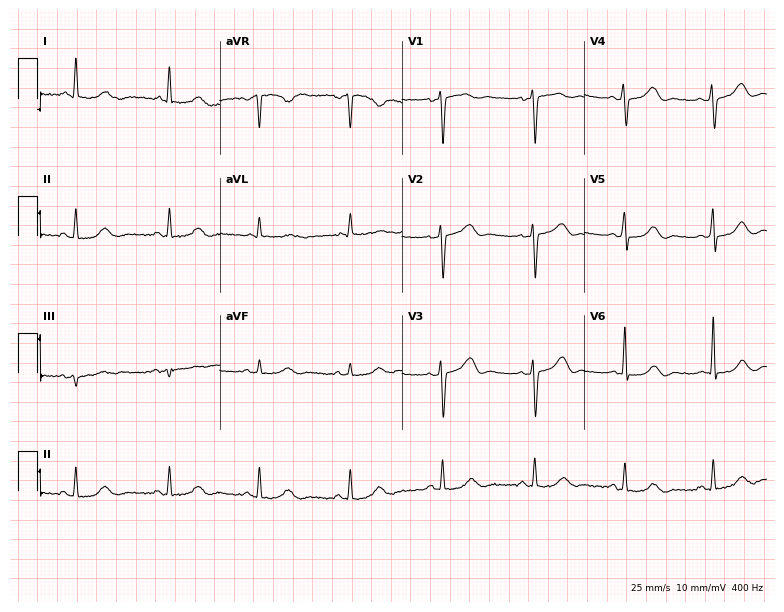
Standard 12-lead ECG recorded from a 62-year-old woman. None of these six findings is recorded: first-degree AV block, right bundle branch block, left bundle branch block, sinus bradycardia, atrial fibrillation, sinus tachycardia. Other findings, if any, are not listed.